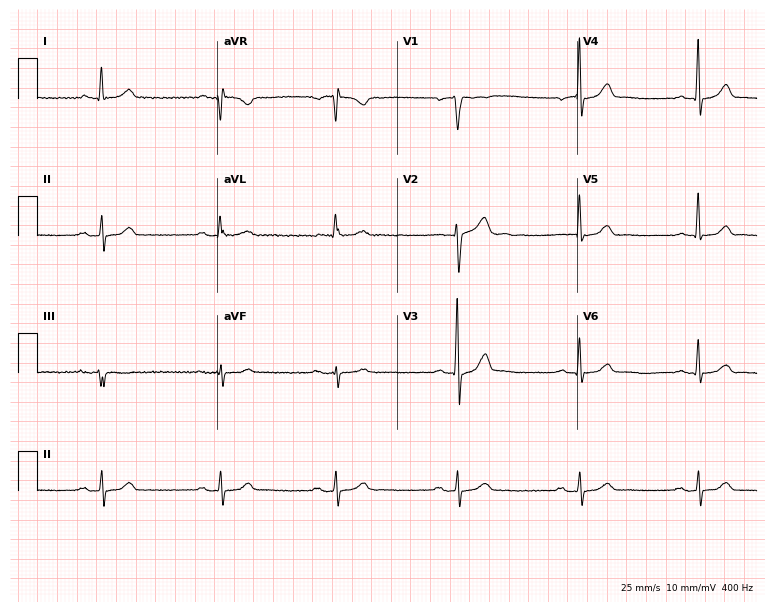
Electrocardiogram, a 62-year-old male. Of the six screened findings (first-degree AV block, right bundle branch block, left bundle branch block, sinus bradycardia, atrial fibrillation, sinus tachycardia), none is recorded. Other findings, if any, are not listed.